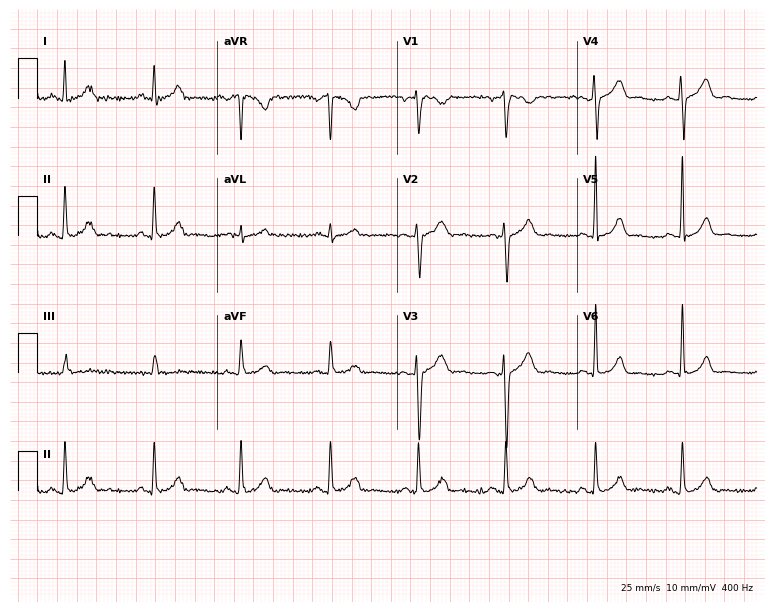
Standard 12-lead ECG recorded from a male, 25 years old. Read as a normal ECG.